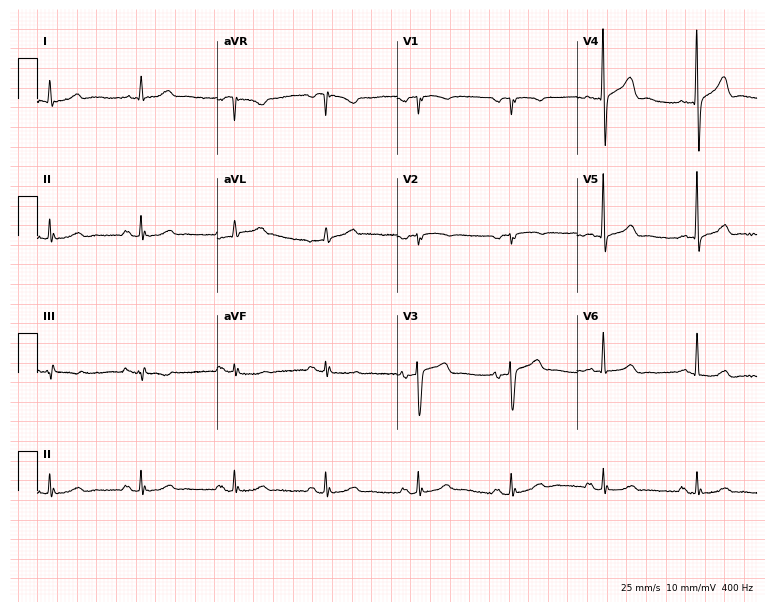
Standard 12-lead ECG recorded from a man, 80 years old (7.3-second recording at 400 Hz). None of these six findings is recorded: first-degree AV block, right bundle branch block, left bundle branch block, sinus bradycardia, atrial fibrillation, sinus tachycardia. Findings outside these six are not listed.